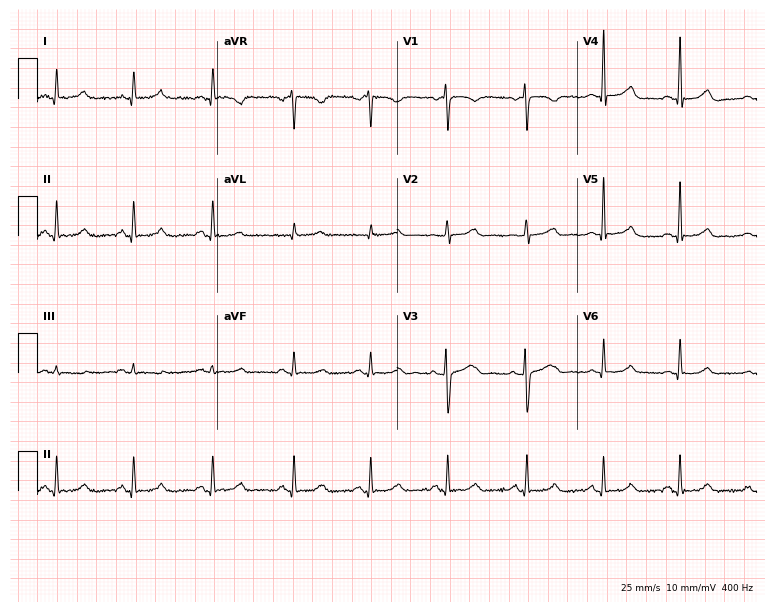
ECG — a 45-year-old female. Labelled as a normal ECG.